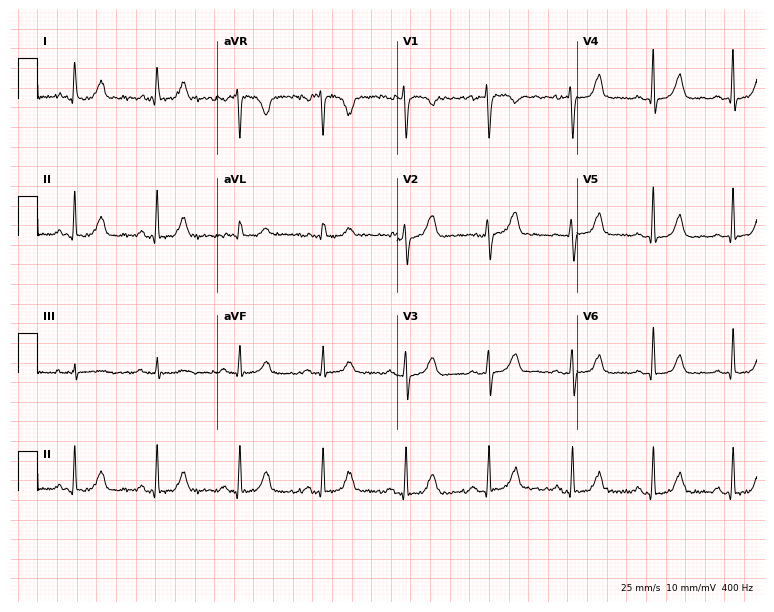
ECG — a 51-year-old female patient. Labelled as a normal ECG.